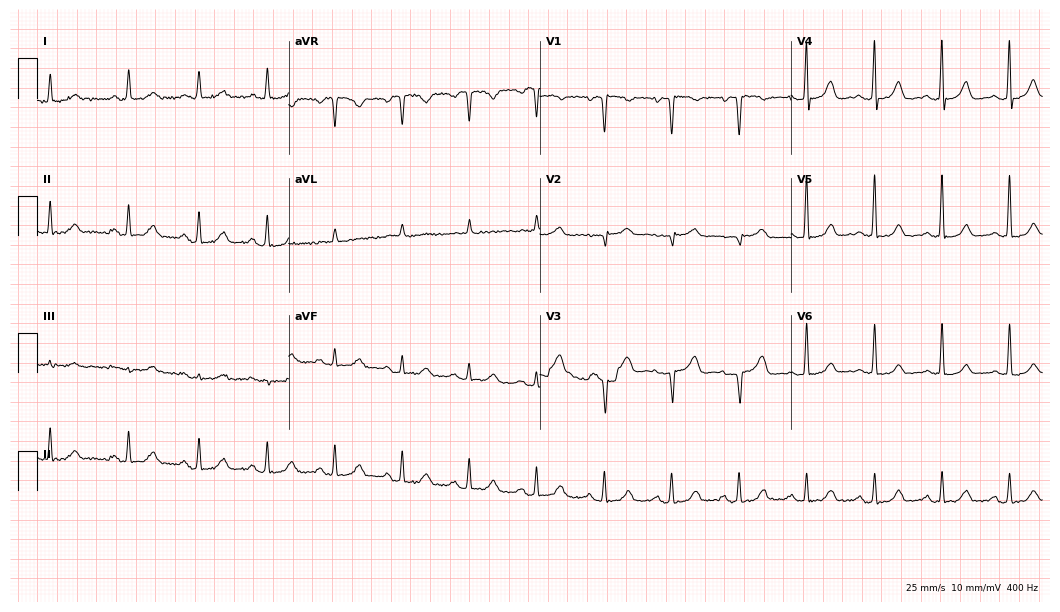
12-lead ECG from a 76-year-old female. No first-degree AV block, right bundle branch block, left bundle branch block, sinus bradycardia, atrial fibrillation or sinus tachycardia recorded for this tracing. Other findings, if any, are not listed.